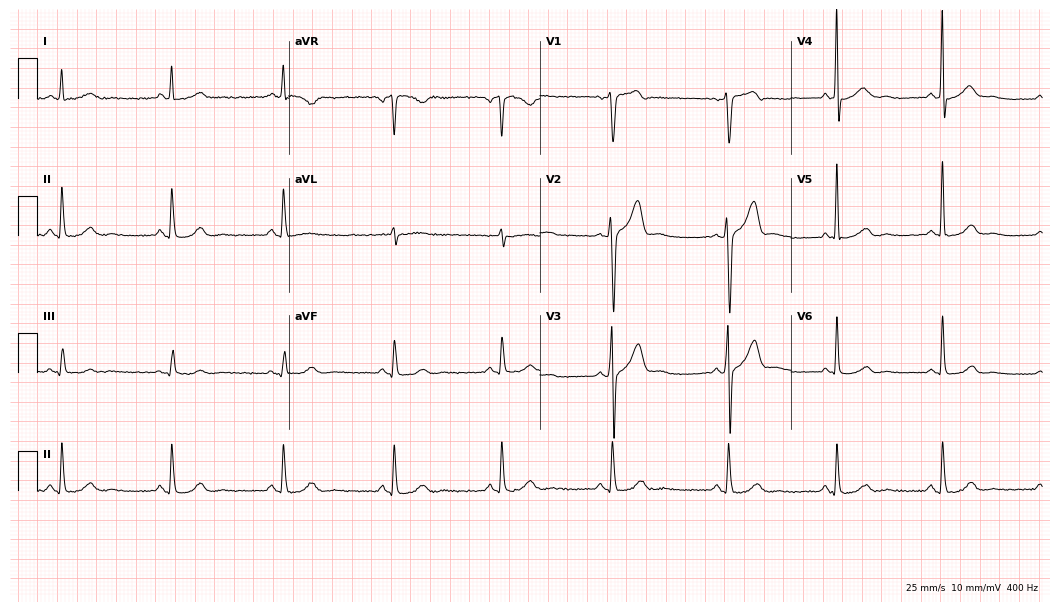
ECG — a 54-year-old man. Labelled as a normal ECG.